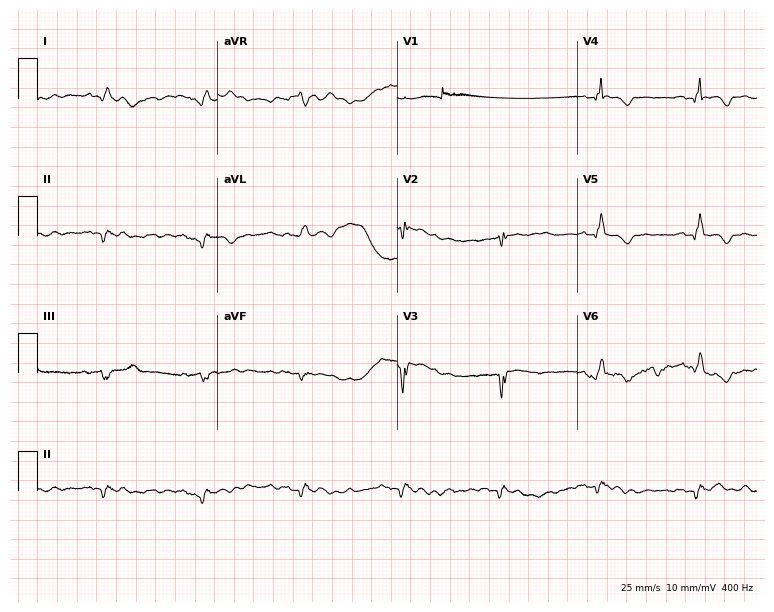
Resting 12-lead electrocardiogram (7.3-second recording at 400 Hz). Patient: a 66-year-old man. None of these six findings is recorded: first-degree AV block, right bundle branch block (RBBB), left bundle branch block (LBBB), sinus bradycardia, atrial fibrillation (AF), sinus tachycardia.